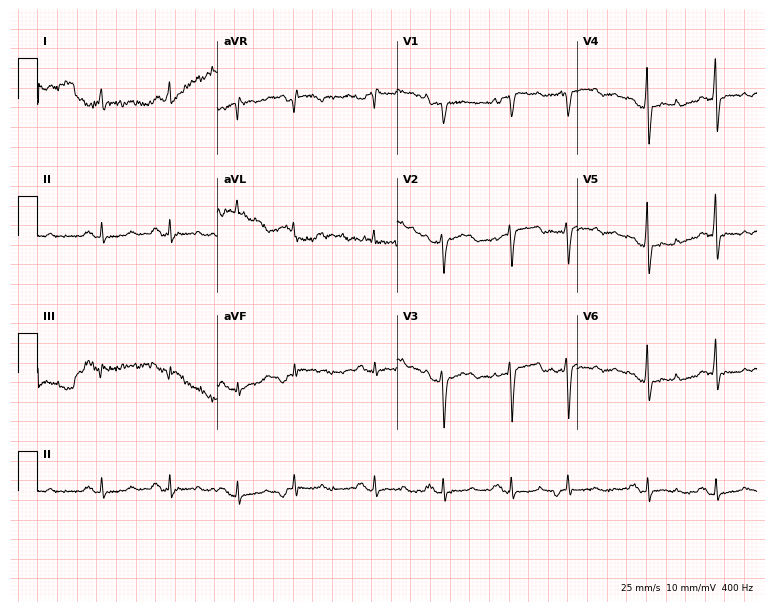
Electrocardiogram (7.3-second recording at 400 Hz), a 65-year-old female. Of the six screened findings (first-degree AV block, right bundle branch block, left bundle branch block, sinus bradycardia, atrial fibrillation, sinus tachycardia), none is recorded.